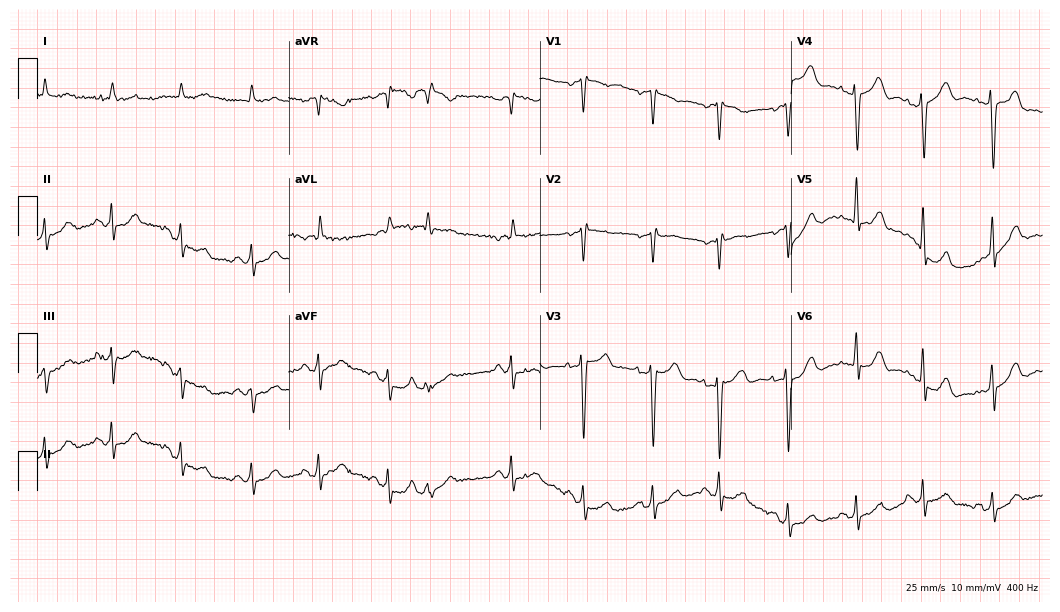
Resting 12-lead electrocardiogram. Patient: a male, 67 years old. None of these six findings is recorded: first-degree AV block, right bundle branch block (RBBB), left bundle branch block (LBBB), sinus bradycardia, atrial fibrillation (AF), sinus tachycardia.